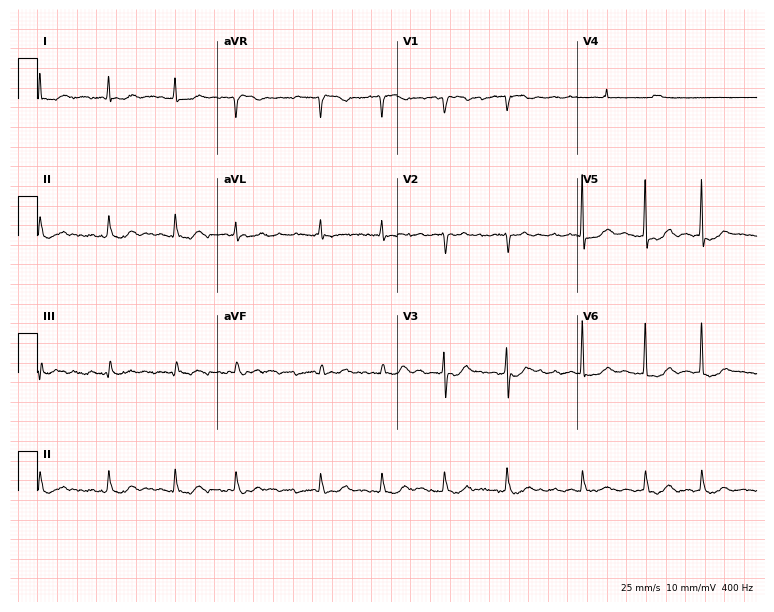
ECG — an 82-year-old woman. Findings include atrial fibrillation.